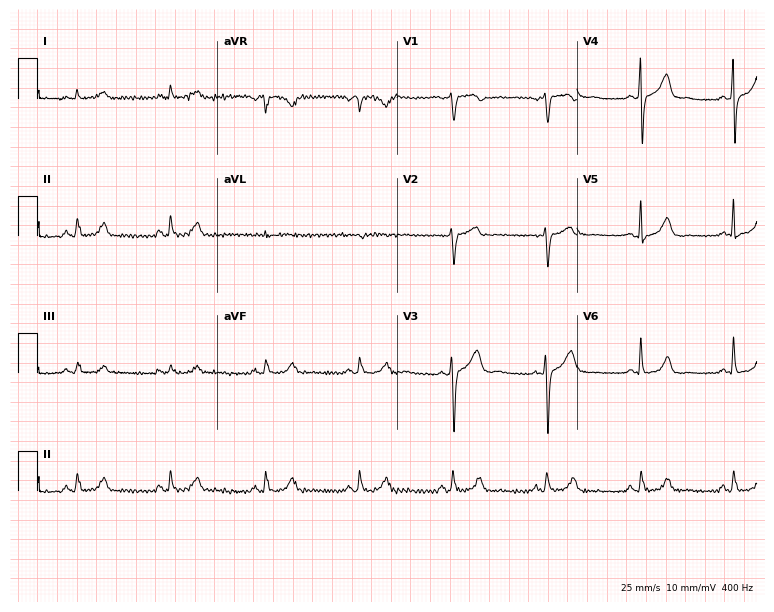
12-lead ECG from a 48-year-old male (7.3-second recording at 400 Hz). No first-degree AV block, right bundle branch block, left bundle branch block, sinus bradycardia, atrial fibrillation or sinus tachycardia recorded for this tracing.